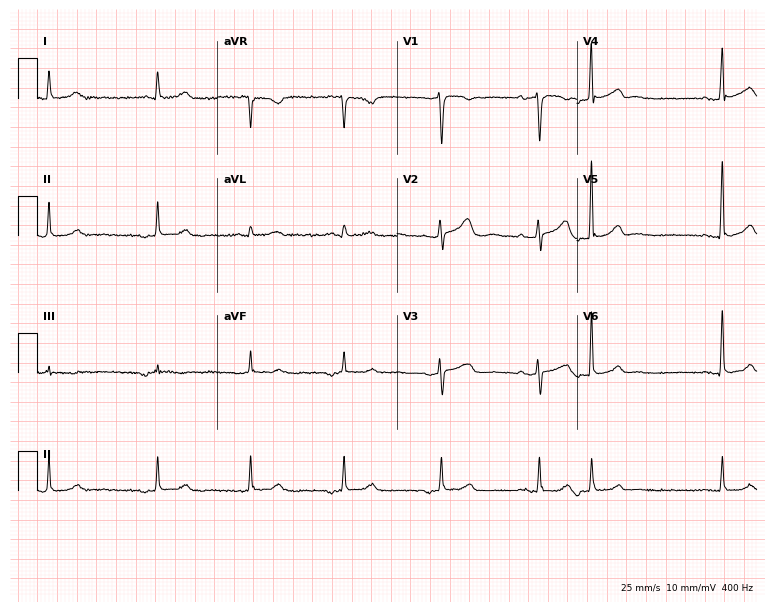
Electrocardiogram, a female, 66 years old. Of the six screened findings (first-degree AV block, right bundle branch block (RBBB), left bundle branch block (LBBB), sinus bradycardia, atrial fibrillation (AF), sinus tachycardia), none is recorded. Findings outside these six are not listed.